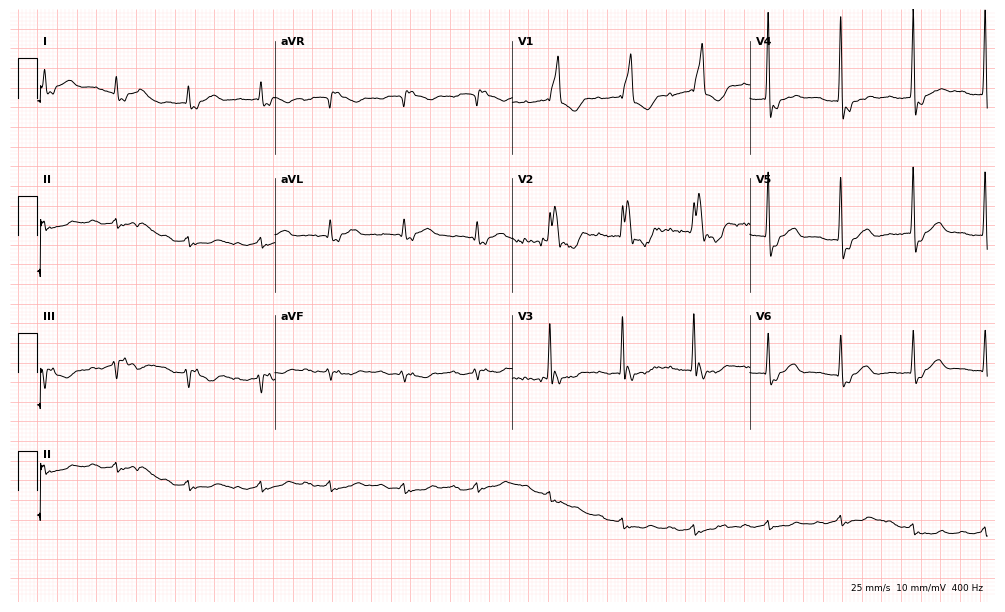
Electrocardiogram (9.7-second recording at 400 Hz), an 87-year-old male. Interpretation includes right bundle branch block (RBBB).